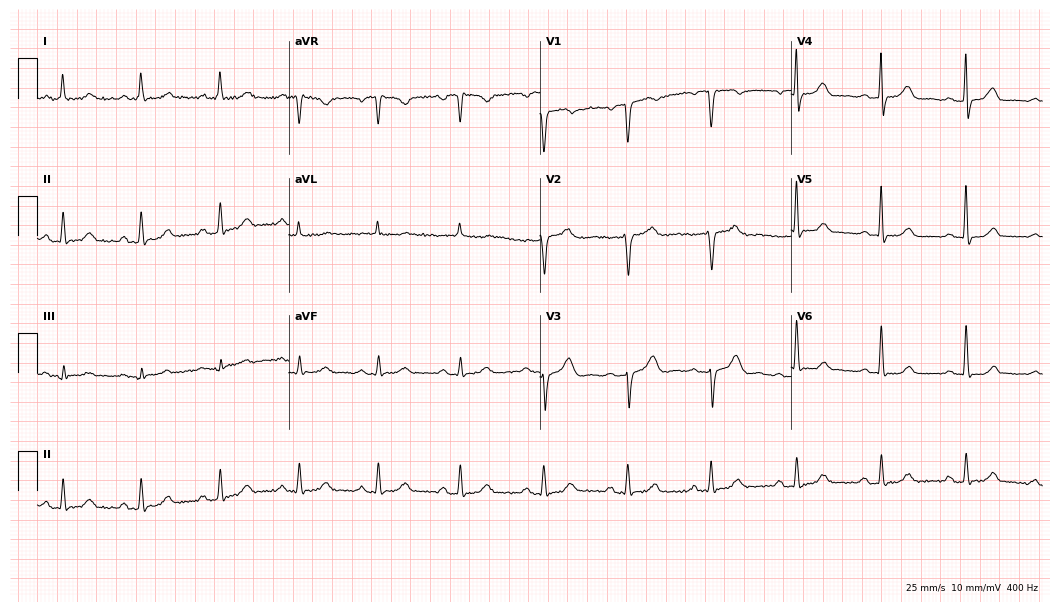
Electrocardiogram, a female patient, 62 years old. Interpretation includes first-degree AV block.